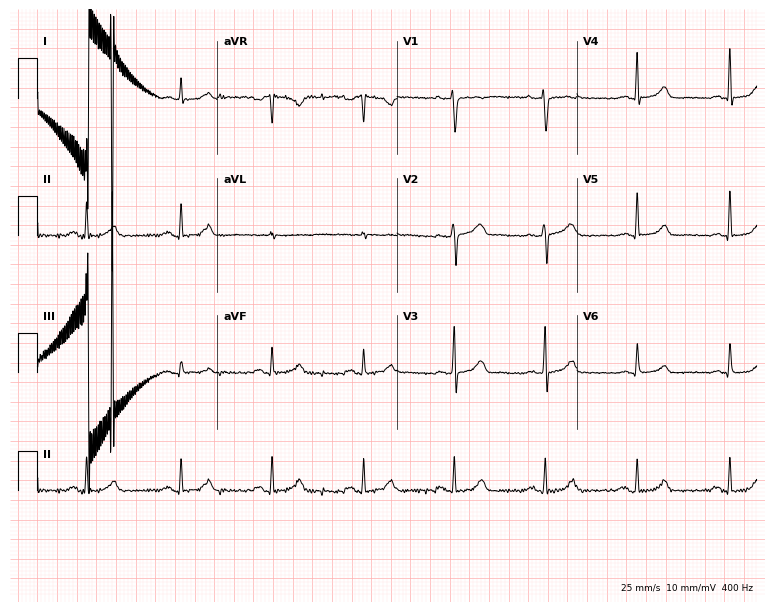
12-lead ECG from a woman, 37 years old (7.3-second recording at 400 Hz). Recorded interpretation: within normal limits.